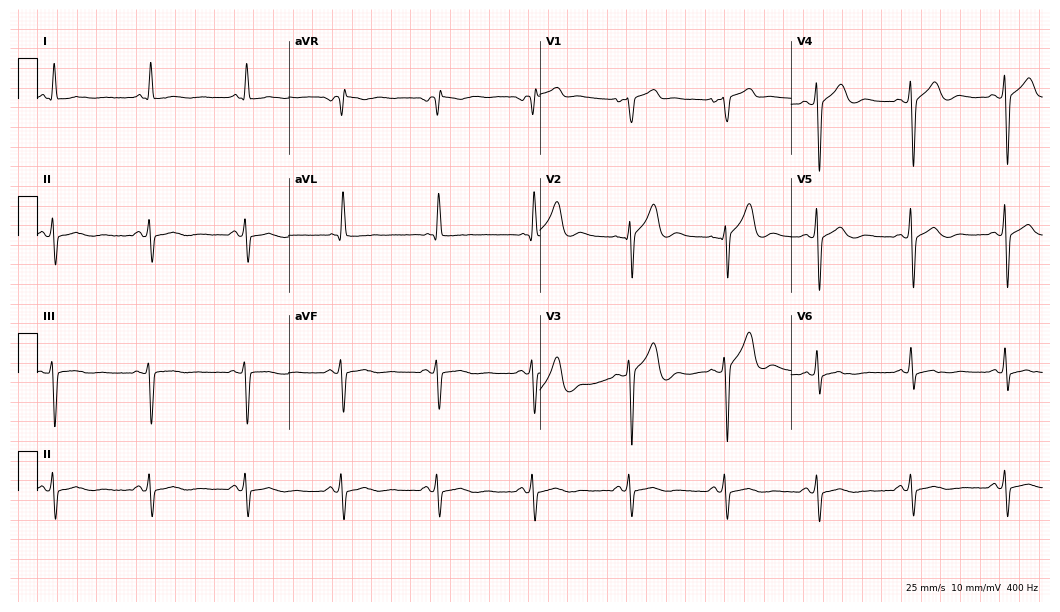
ECG (10.2-second recording at 400 Hz) — a man, 61 years old. Screened for six findings — first-degree AV block, right bundle branch block (RBBB), left bundle branch block (LBBB), sinus bradycardia, atrial fibrillation (AF), sinus tachycardia — none is recorded. Only these six findings were labelled.